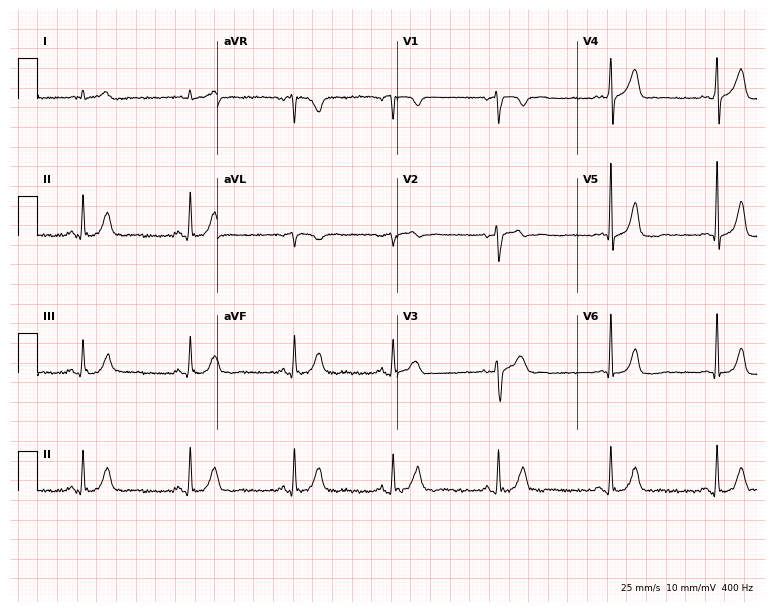
Resting 12-lead electrocardiogram. Patient: a 53-year-old male. Read as a normal ECG.